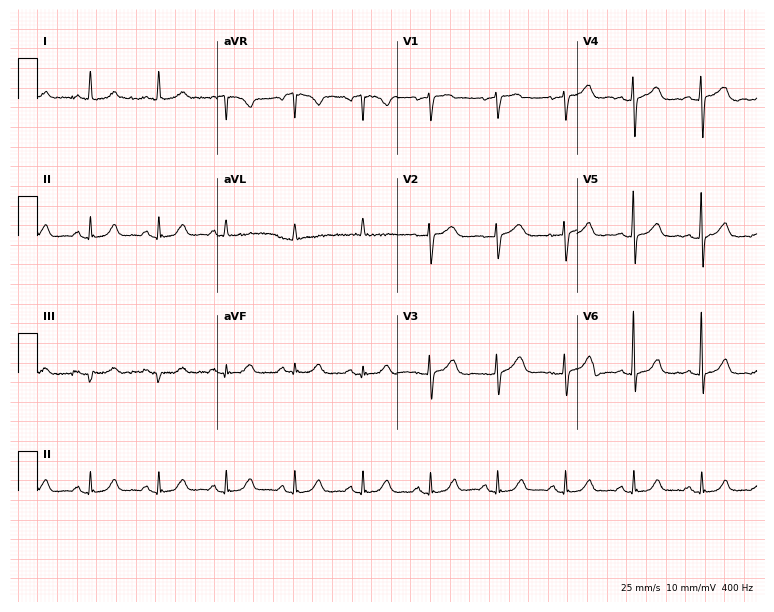
Standard 12-lead ECG recorded from a female patient, 71 years old (7.3-second recording at 400 Hz). Read as a normal ECG.